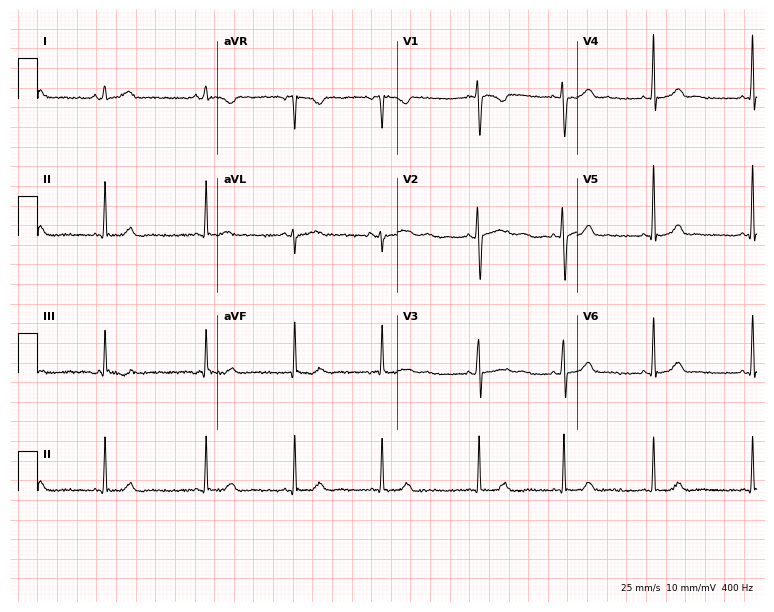
Resting 12-lead electrocardiogram. Patient: a female, 19 years old. None of these six findings is recorded: first-degree AV block, right bundle branch block, left bundle branch block, sinus bradycardia, atrial fibrillation, sinus tachycardia.